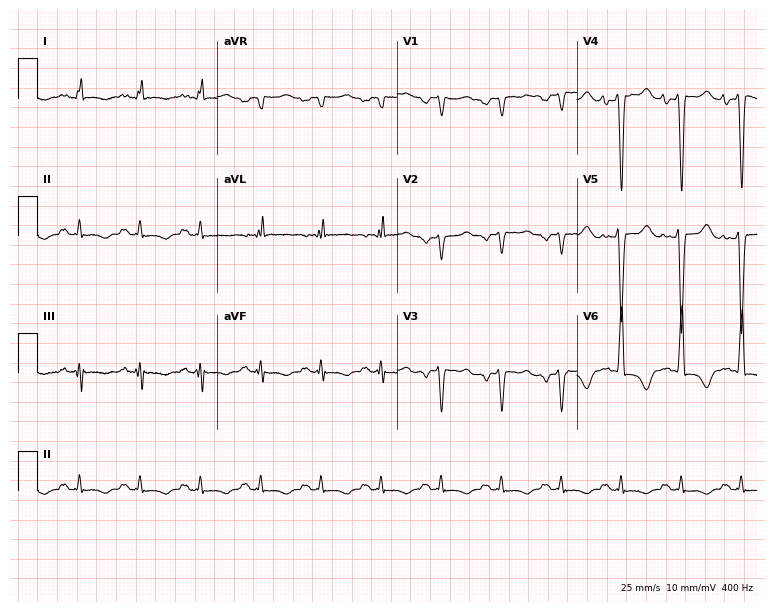
Electrocardiogram (7.3-second recording at 400 Hz), a 34-year-old male. Of the six screened findings (first-degree AV block, right bundle branch block, left bundle branch block, sinus bradycardia, atrial fibrillation, sinus tachycardia), none is recorded. Only these six findings were labelled.